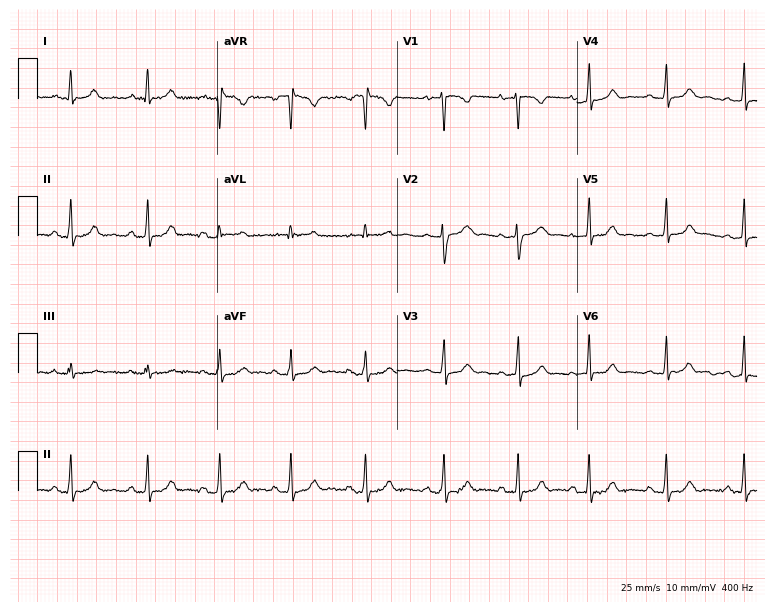
12-lead ECG from a 22-year-old female patient. Screened for six findings — first-degree AV block, right bundle branch block, left bundle branch block, sinus bradycardia, atrial fibrillation, sinus tachycardia — none is recorded. Other findings, if any, are not listed.